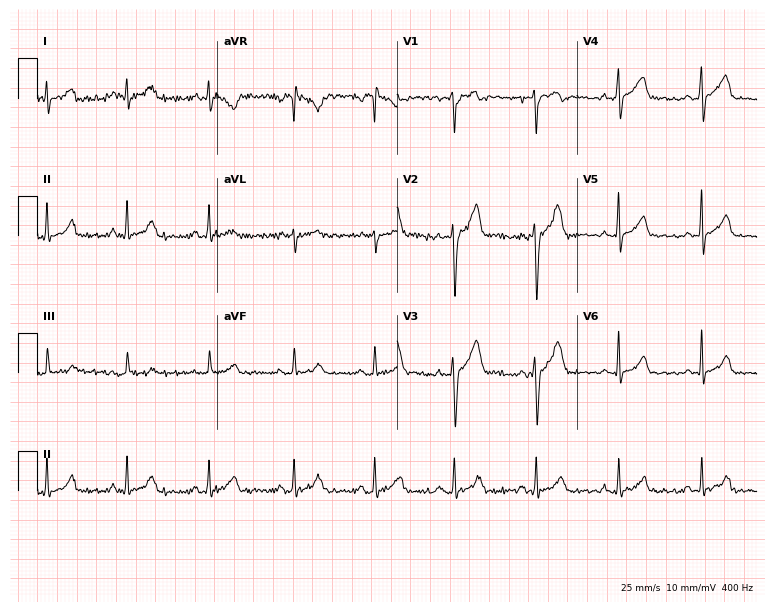
12-lead ECG from a 25-year-old man. Labelled as a normal ECG.